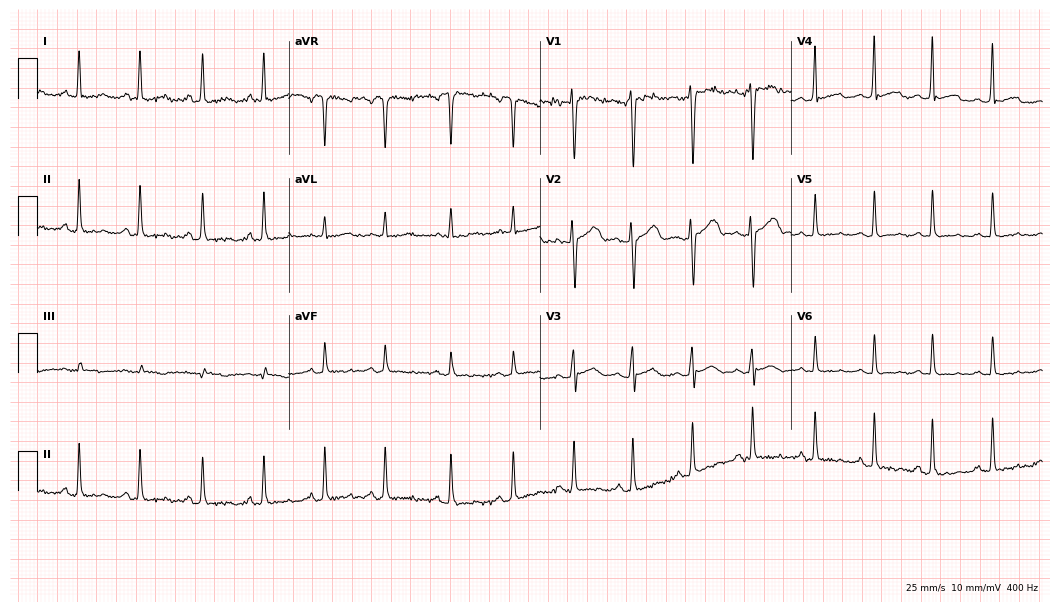
12-lead ECG (10.2-second recording at 400 Hz) from a 21-year-old female patient. Screened for six findings — first-degree AV block, right bundle branch block, left bundle branch block, sinus bradycardia, atrial fibrillation, sinus tachycardia — none is recorded.